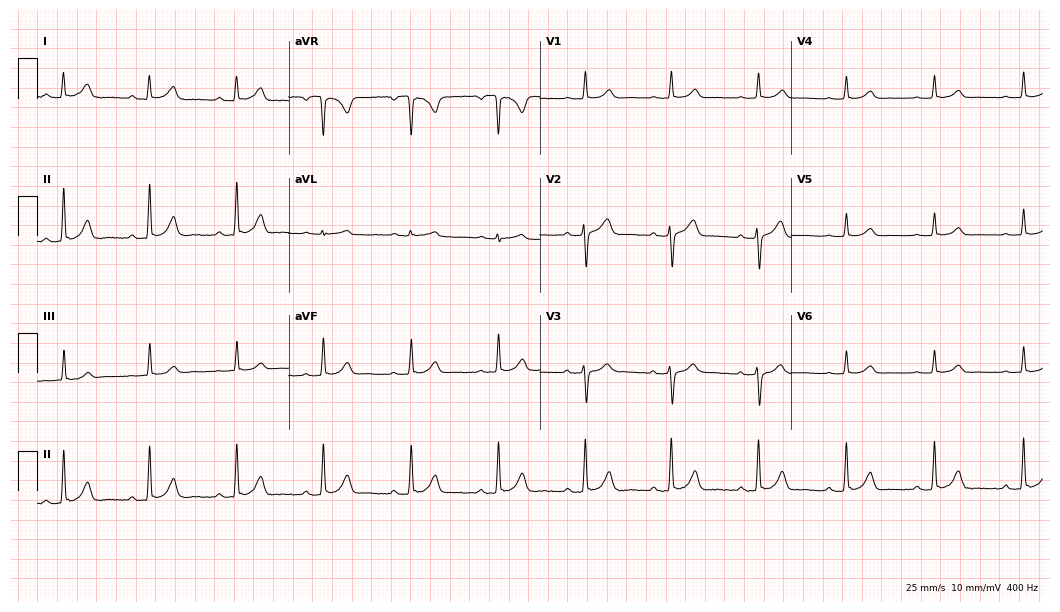
ECG (10.2-second recording at 400 Hz) — a 38-year-old male. Labelled as a normal ECG.